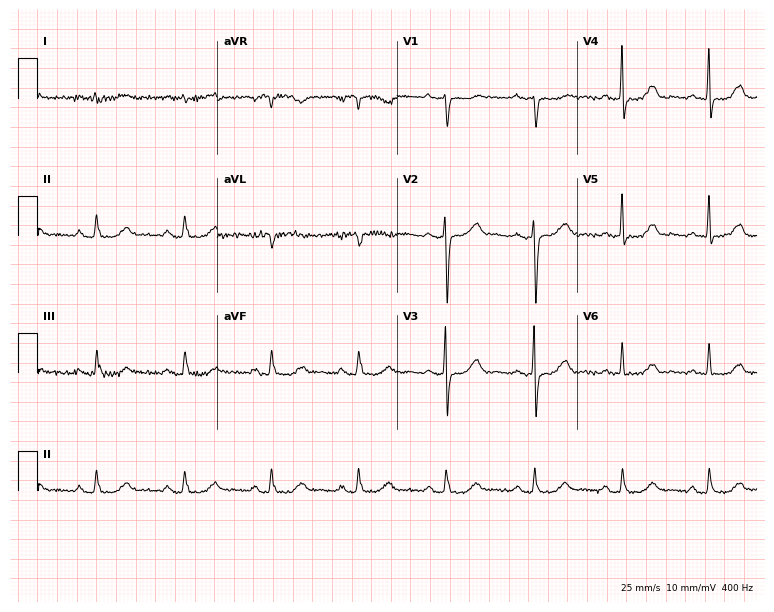
Resting 12-lead electrocardiogram (7.3-second recording at 400 Hz). Patient: a woman, 83 years old. None of these six findings is recorded: first-degree AV block, right bundle branch block, left bundle branch block, sinus bradycardia, atrial fibrillation, sinus tachycardia. Only these six findings were labelled.